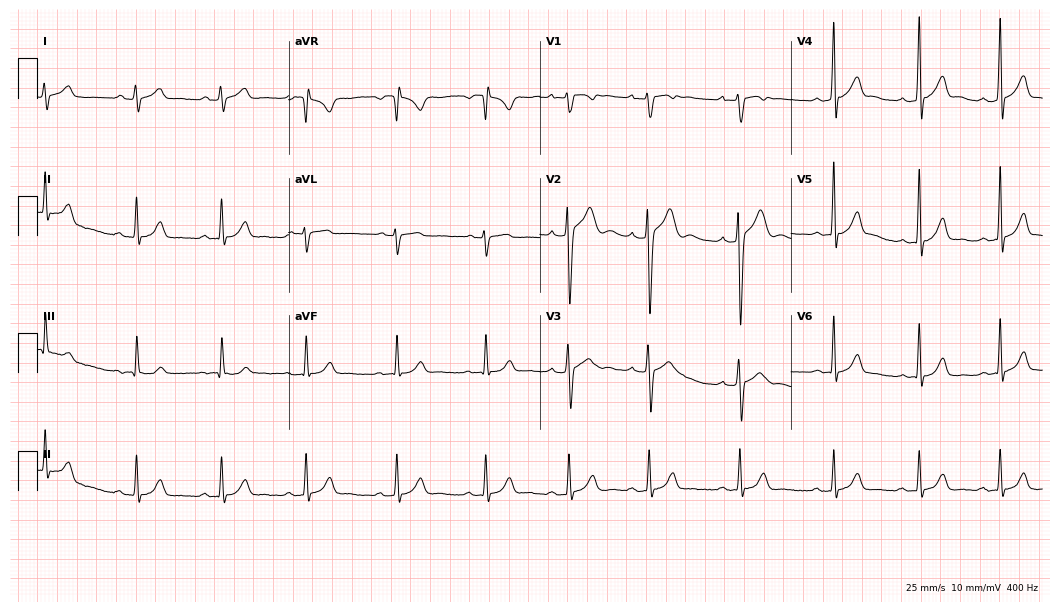
12-lead ECG from a male, 18 years old. Recorded interpretation: within normal limits.